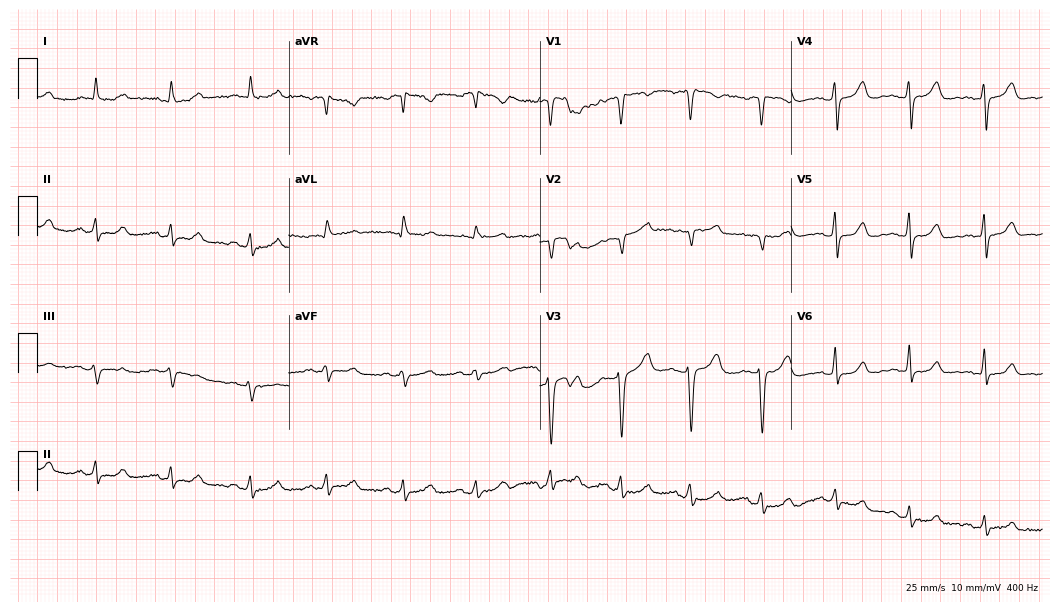
ECG — a 51-year-old female. Screened for six findings — first-degree AV block, right bundle branch block, left bundle branch block, sinus bradycardia, atrial fibrillation, sinus tachycardia — none is recorded. Other findings, if any, are not listed.